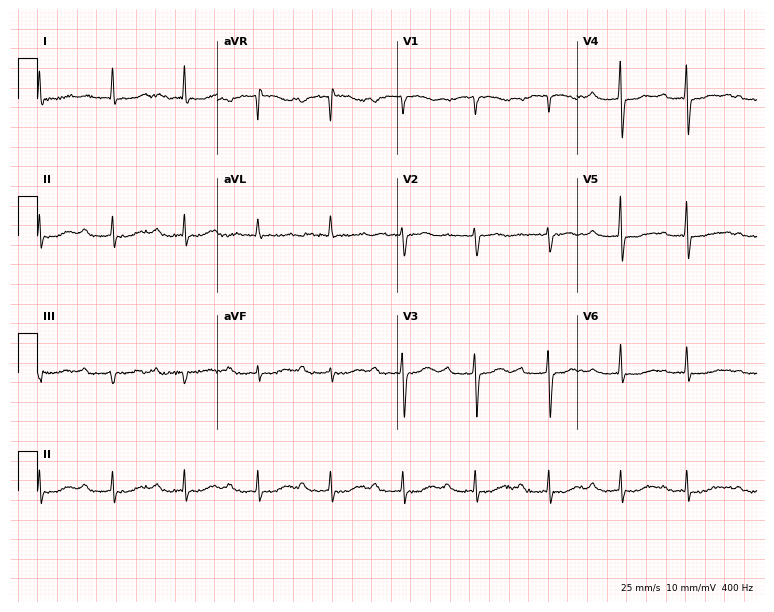
12-lead ECG from a 76-year-old woman. Findings include first-degree AV block.